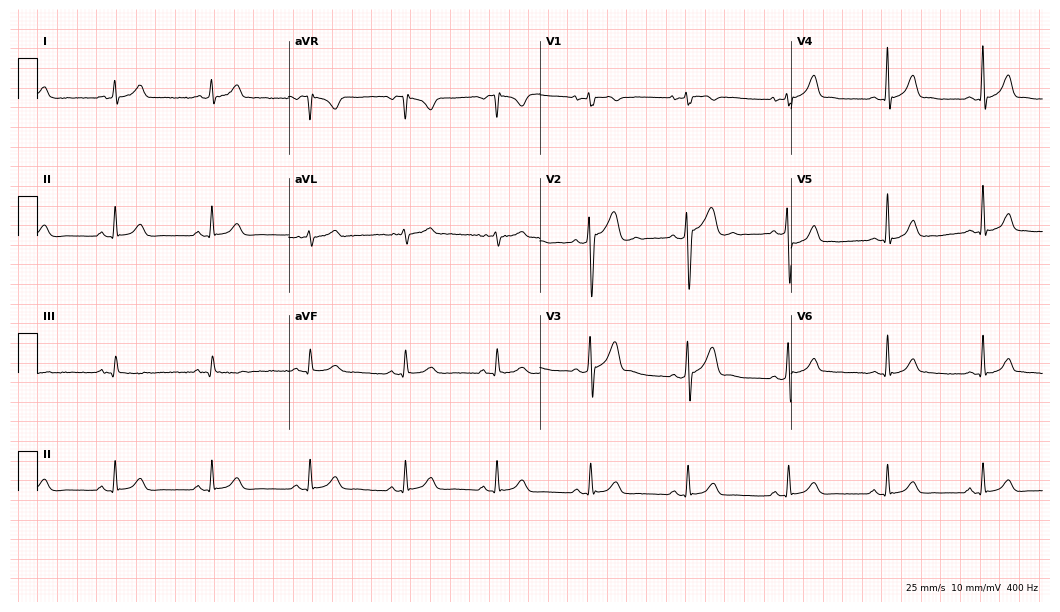
12-lead ECG (10.2-second recording at 400 Hz) from a man, 31 years old. Screened for six findings — first-degree AV block, right bundle branch block, left bundle branch block, sinus bradycardia, atrial fibrillation, sinus tachycardia — none is recorded.